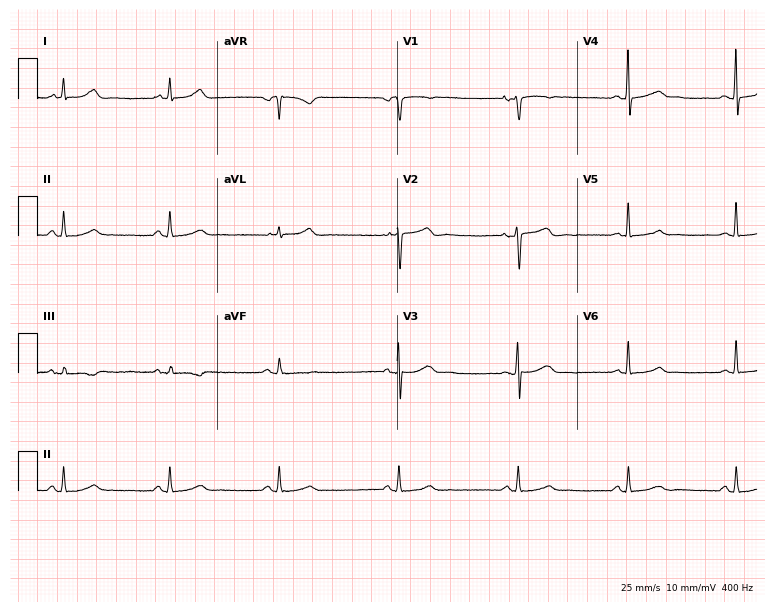
Standard 12-lead ECG recorded from a 46-year-old female patient (7.3-second recording at 400 Hz). Read as a normal ECG.